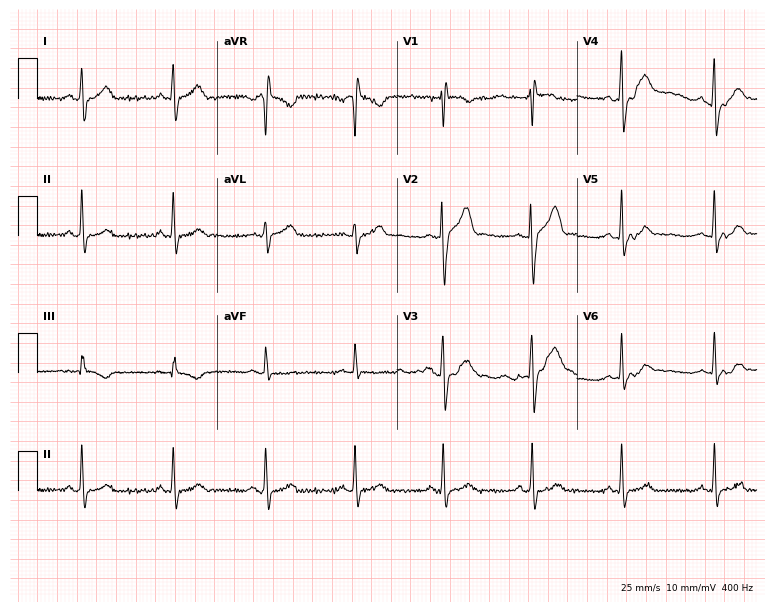
12-lead ECG from a male, 25 years old. Screened for six findings — first-degree AV block, right bundle branch block (RBBB), left bundle branch block (LBBB), sinus bradycardia, atrial fibrillation (AF), sinus tachycardia — none is recorded.